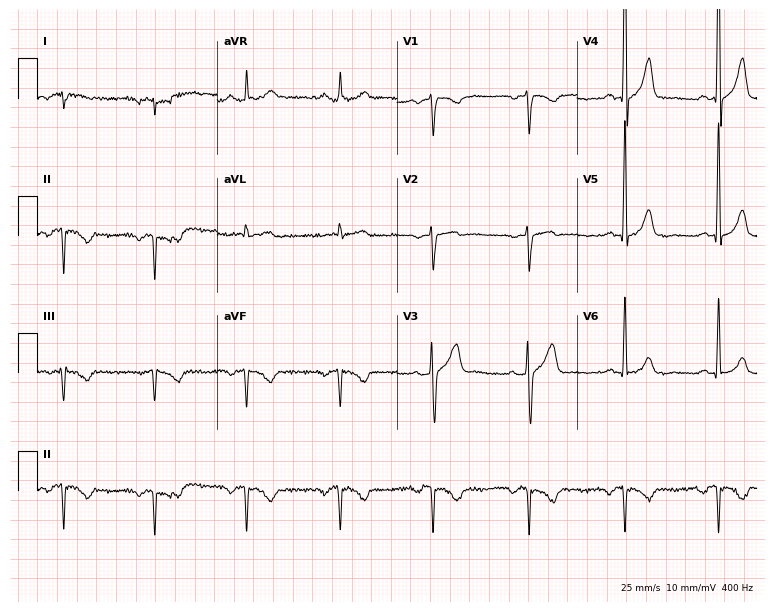
ECG (7.3-second recording at 400 Hz) — a male patient, 51 years old. Screened for six findings — first-degree AV block, right bundle branch block, left bundle branch block, sinus bradycardia, atrial fibrillation, sinus tachycardia — none is recorded. Other findings, if any, are not listed.